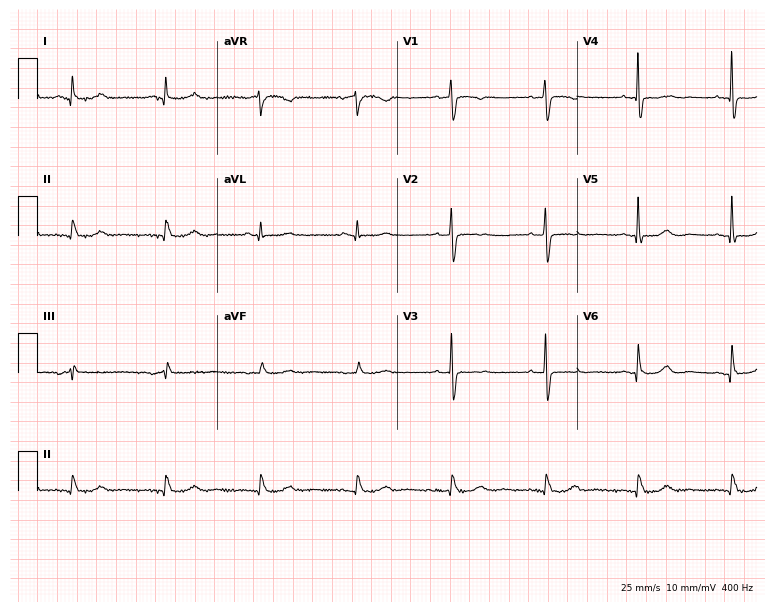
12-lead ECG from a female patient, 57 years old. No first-degree AV block, right bundle branch block (RBBB), left bundle branch block (LBBB), sinus bradycardia, atrial fibrillation (AF) or sinus tachycardia recorded for this tracing. Other findings, if any, are not listed.